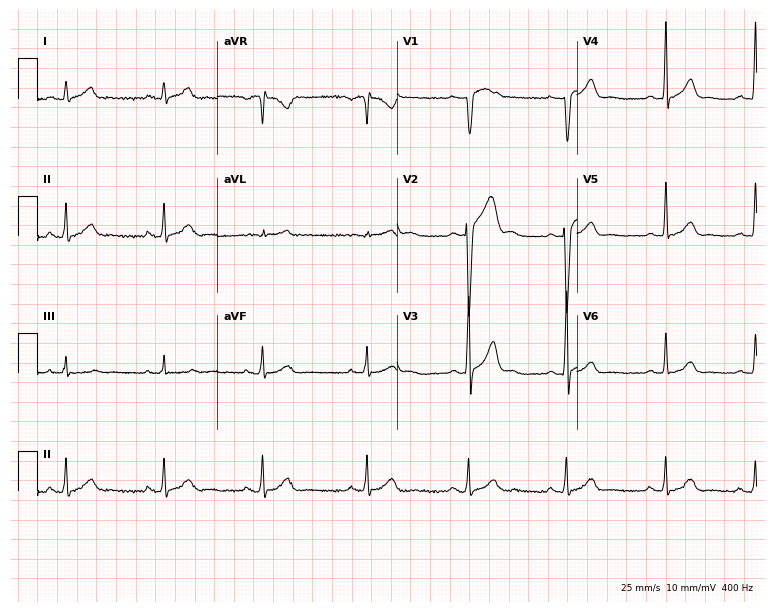
12-lead ECG (7.3-second recording at 400 Hz) from a male, 22 years old. Labelled as a normal ECG.